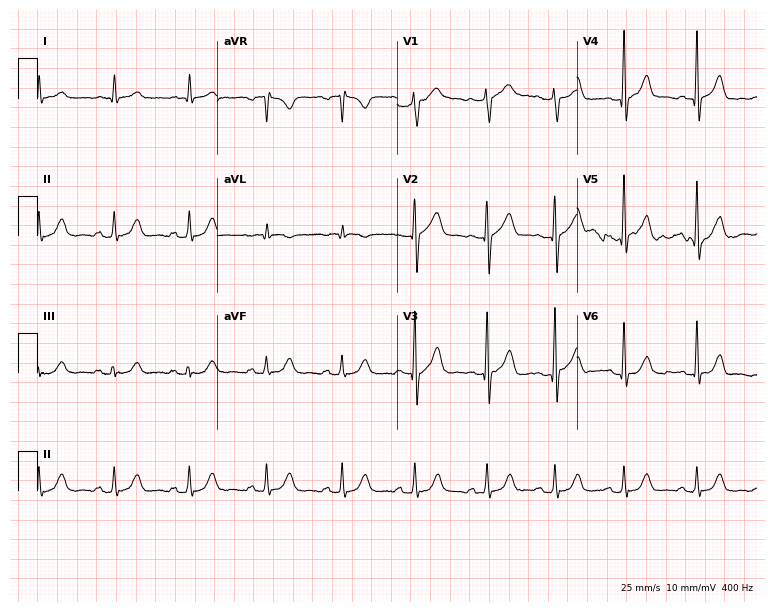
Resting 12-lead electrocardiogram. Patient: a 73-year-old male. Read as a normal ECG.